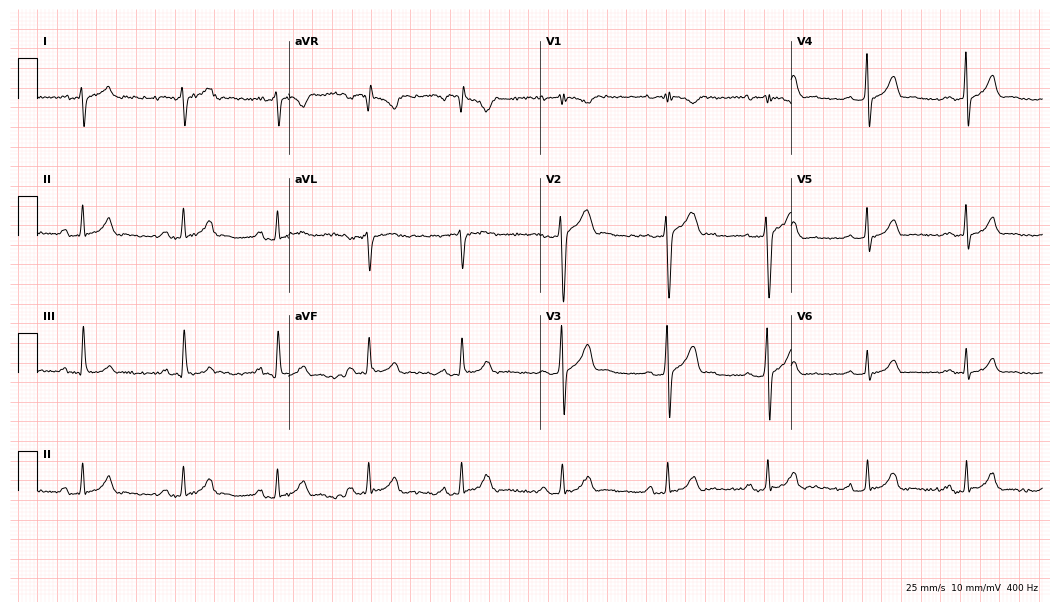
12-lead ECG from a male, 35 years old. Labelled as a normal ECG.